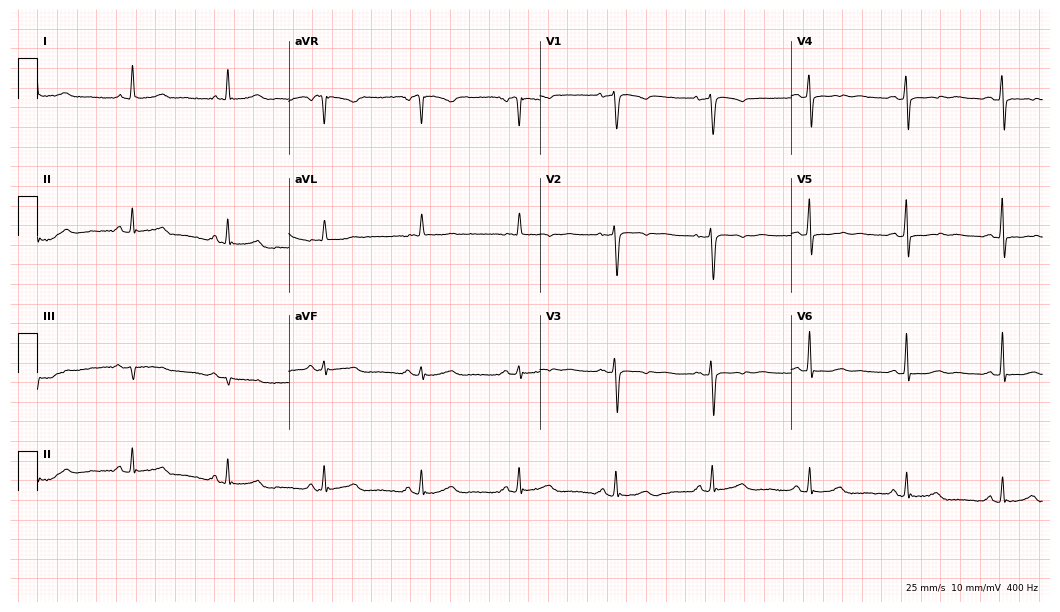
Standard 12-lead ECG recorded from a female patient, 66 years old (10.2-second recording at 400 Hz). Read as a normal ECG.